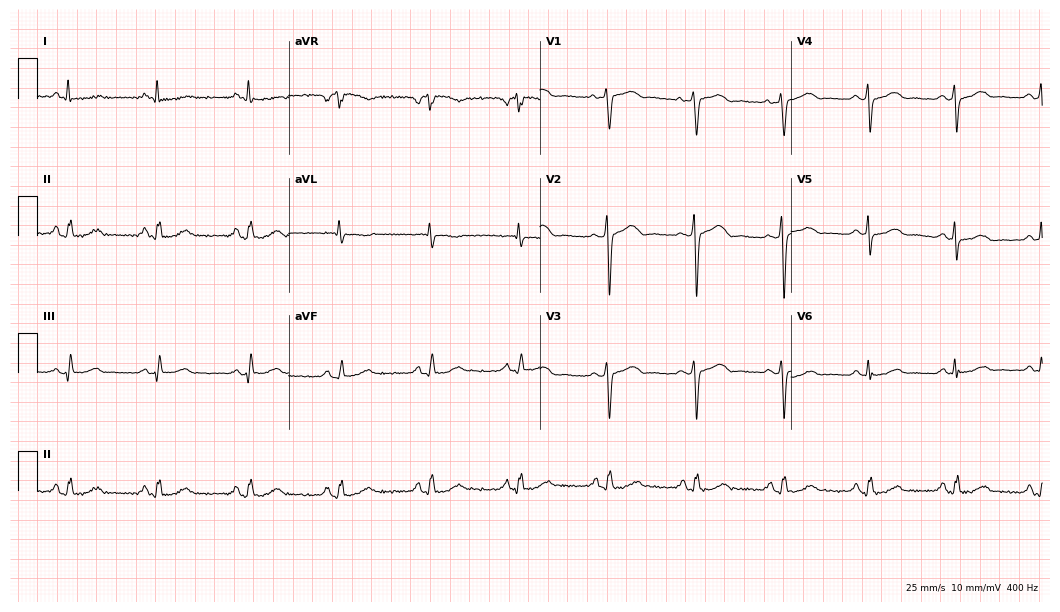
12-lead ECG from a female patient, 50 years old. Labelled as a normal ECG.